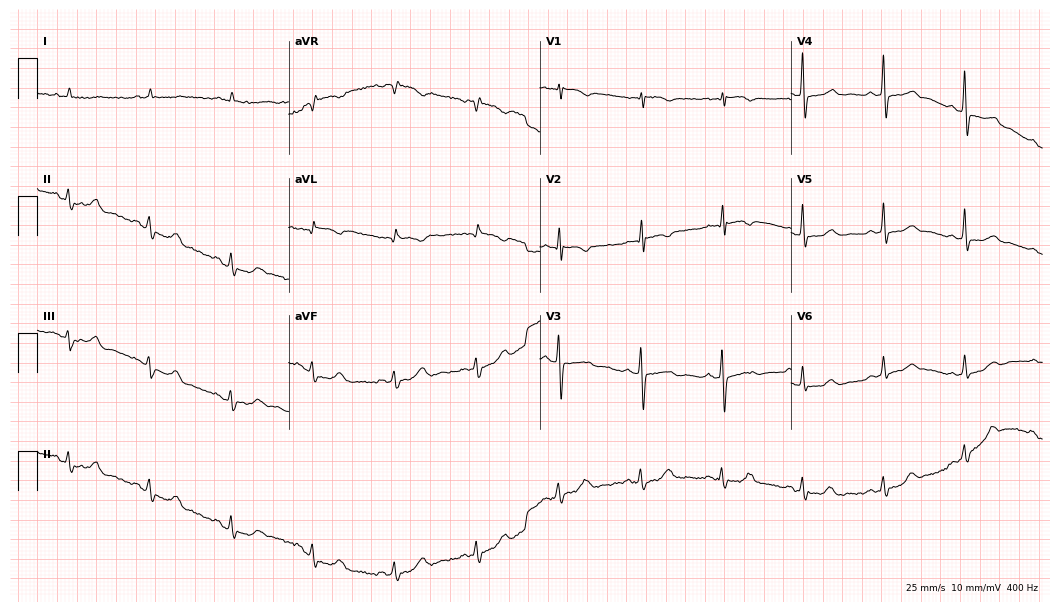
12-lead ECG (10.2-second recording at 400 Hz) from an 81-year-old female patient. Screened for six findings — first-degree AV block, right bundle branch block, left bundle branch block, sinus bradycardia, atrial fibrillation, sinus tachycardia — none is recorded. Only these six findings were labelled.